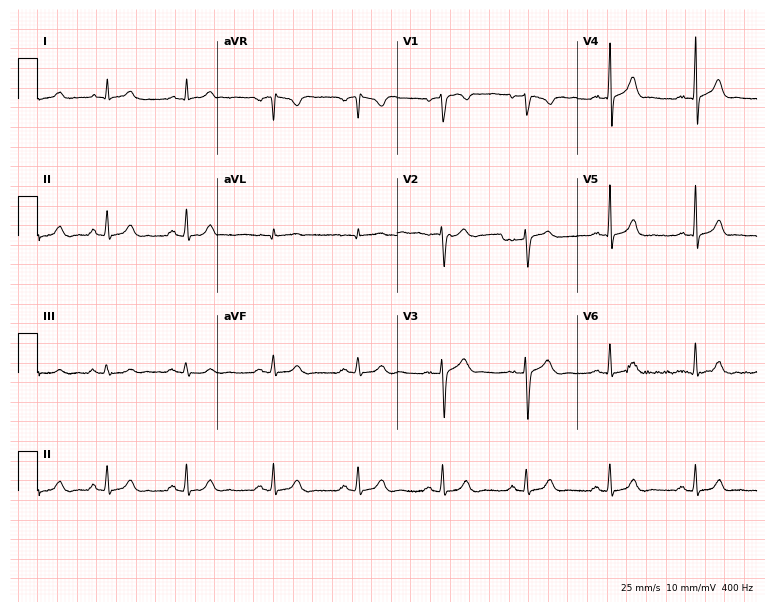
12-lead ECG from a female, 29 years old. Recorded interpretation: within normal limits.